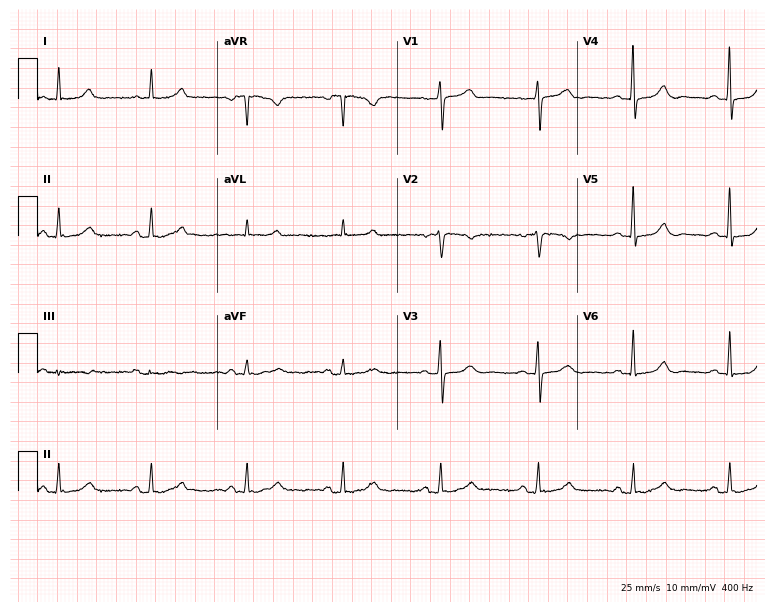
Resting 12-lead electrocardiogram (7.3-second recording at 400 Hz). Patient: a 60-year-old female. Read as a normal ECG.